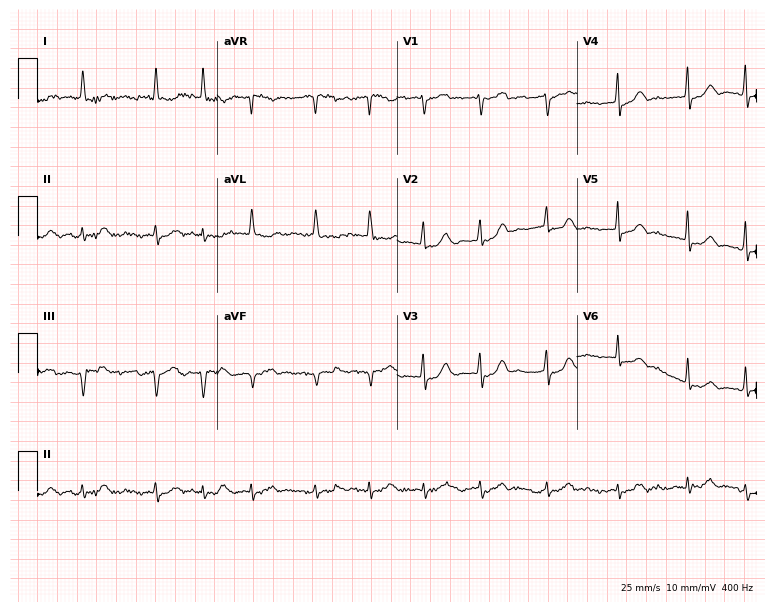
12-lead ECG from a 62-year-old female (7.3-second recording at 400 Hz). Shows atrial fibrillation.